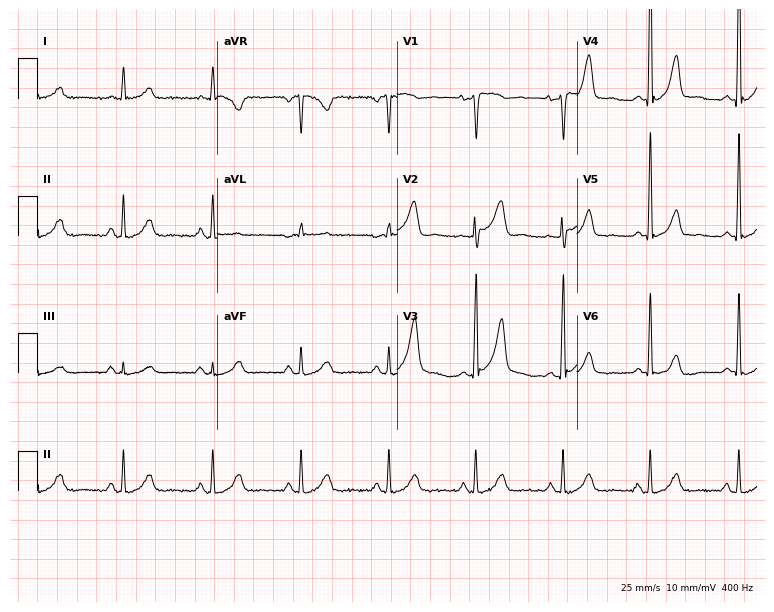
12-lead ECG from a 64-year-old woman (7.3-second recording at 400 Hz). Recorded interpretation: within normal limits.